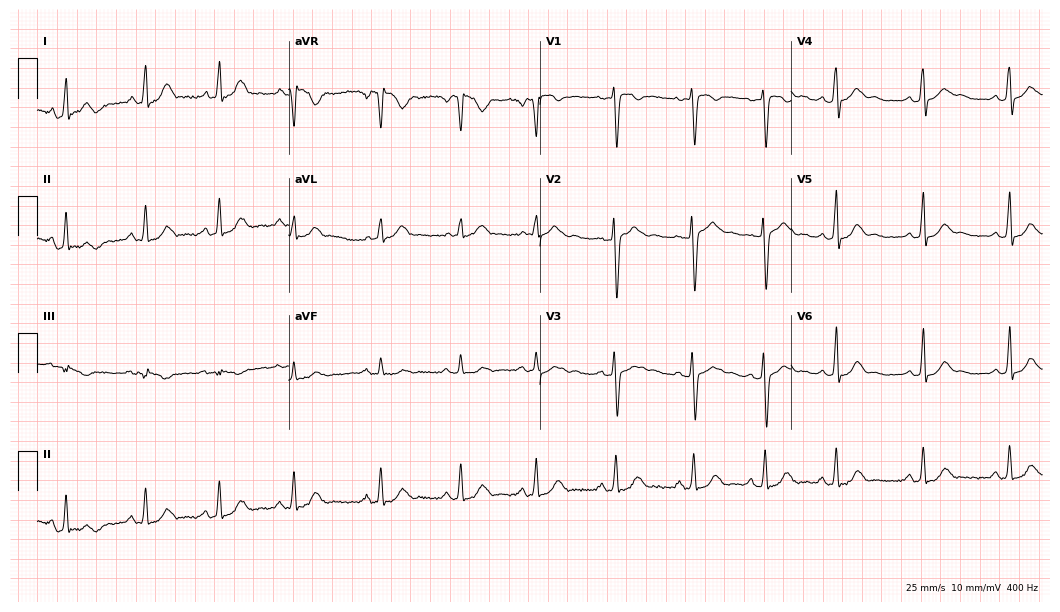
Electrocardiogram, a 32-year-old female patient. Of the six screened findings (first-degree AV block, right bundle branch block, left bundle branch block, sinus bradycardia, atrial fibrillation, sinus tachycardia), none is recorded.